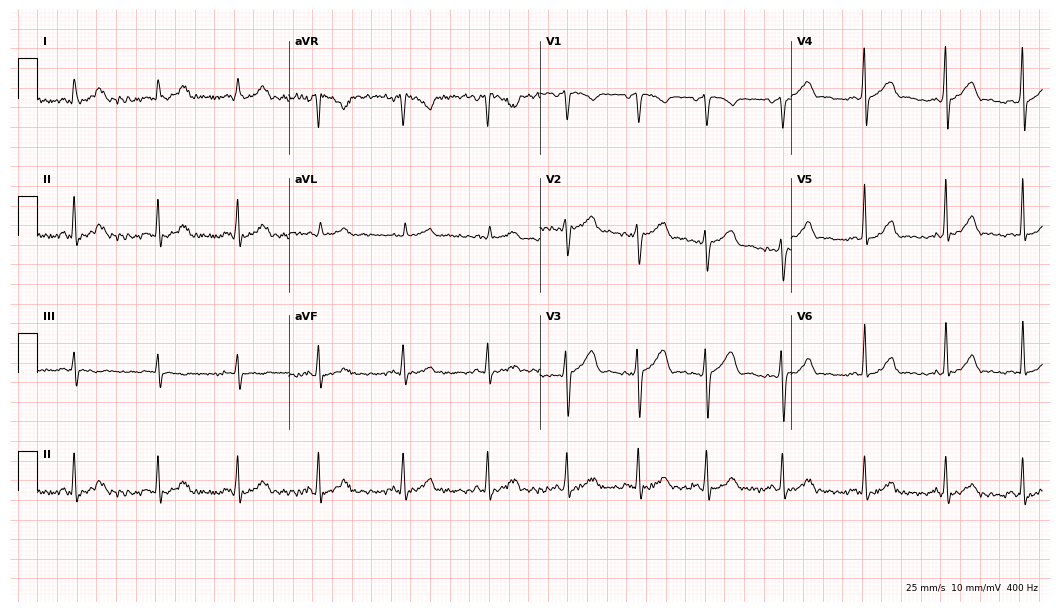
12-lead ECG from a female, 34 years old (10.2-second recording at 400 Hz). No first-degree AV block, right bundle branch block, left bundle branch block, sinus bradycardia, atrial fibrillation or sinus tachycardia recorded for this tracing. Only these six findings were labelled.